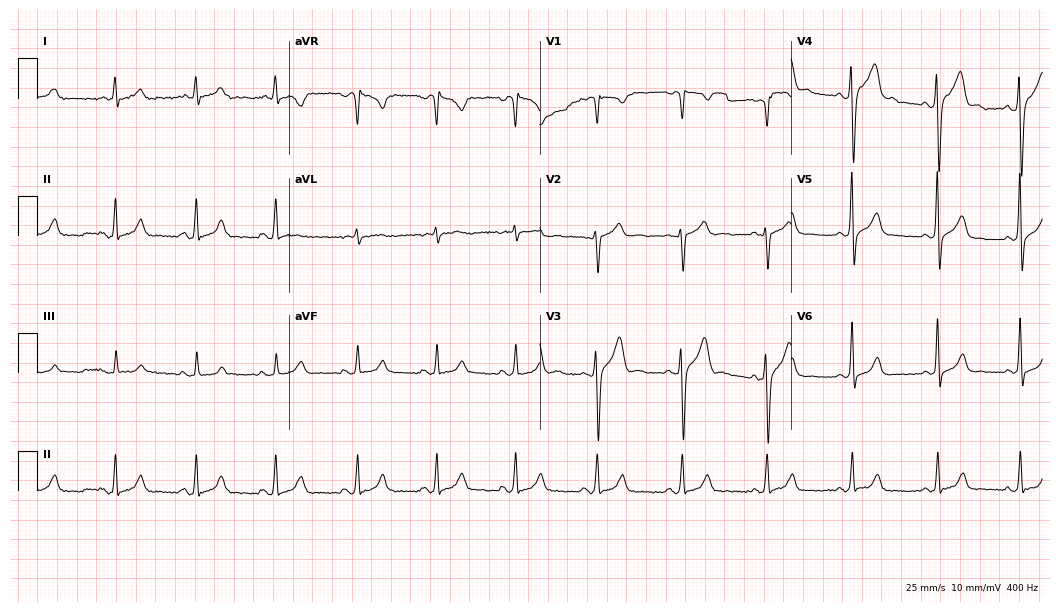
ECG (10.2-second recording at 400 Hz) — a 36-year-old male patient. Labelled as a normal ECG.